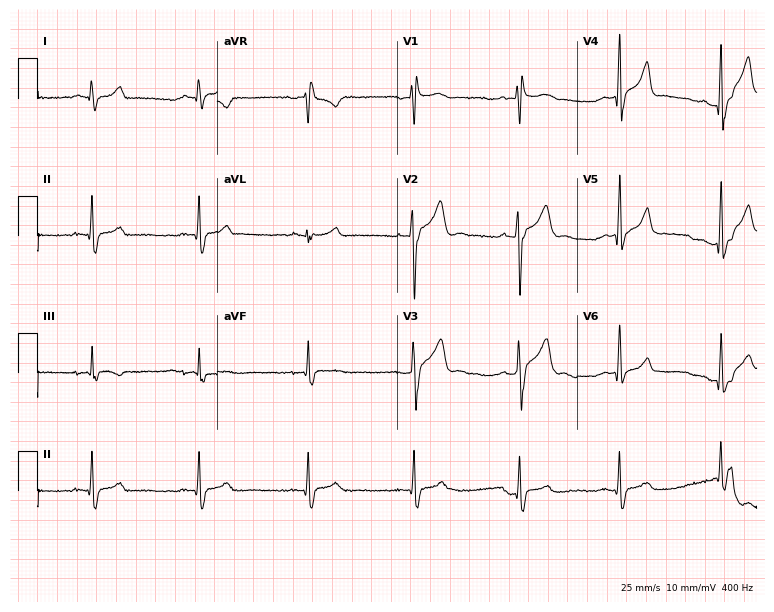
Standard 12-lead ECG recorded from a 17-year-old male patient (7.3-second recording at 400 Hz). None of these six findings is recorded: first-degree AV block, right bundle branch block, left bundle branch block, sinus bradycardia, atrial fibrillation, sinus tachycardia.